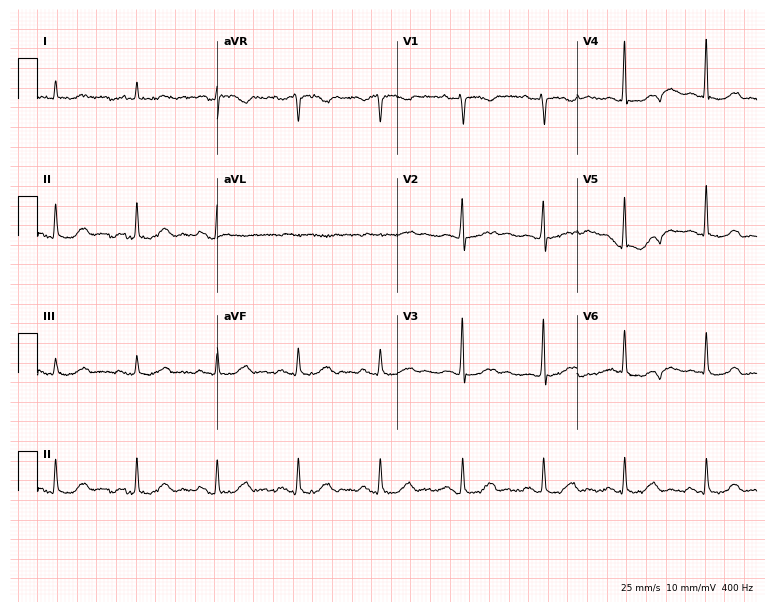
Electrocardiogram (7.3-second recording at 400 Hz), a male, 85 years old. Overall reading on record: normal ECG.